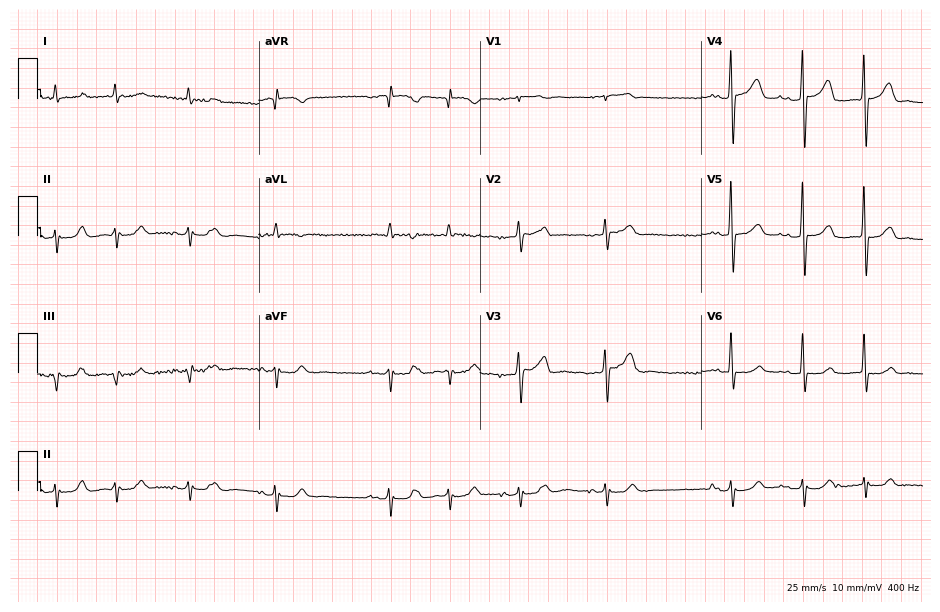
ECG — a man, 63 years old. Screened for six findings — first-degree AV block, right bundle branch block (RBBB), left bundle branch block (LBBB), sinus bradycardia, atrial fibrillation (AF), sinus tachycardia — none is recorded. Other findings, if any, are not listed.